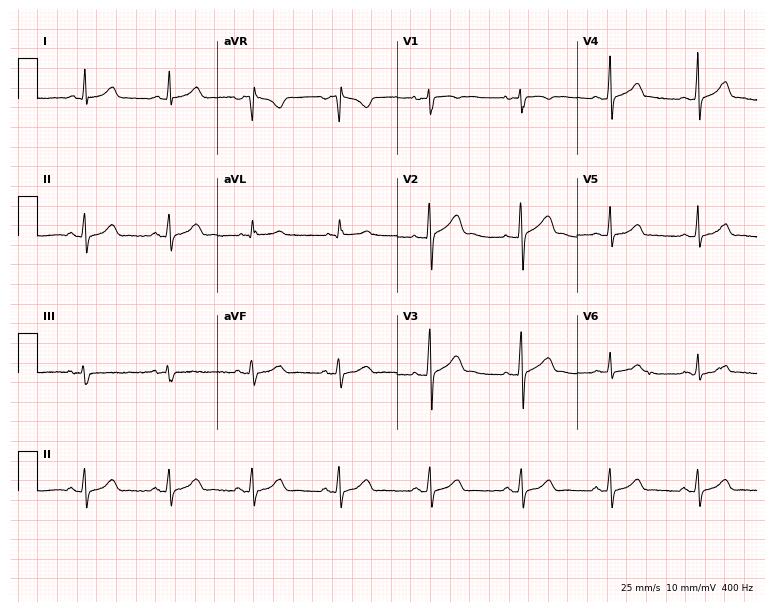
12-lead ECG from a 27-year-old female patient. Labelled as a normal ECG.